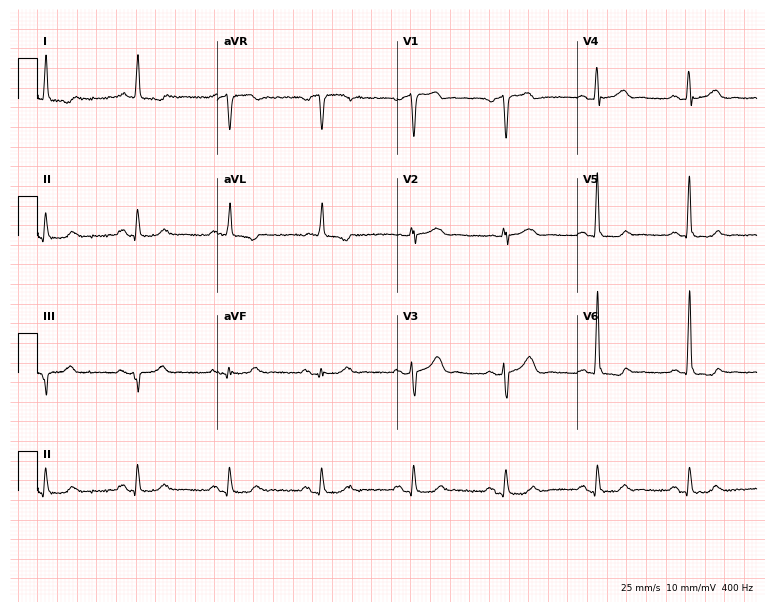
Resting 12-lead electrocardiogram (7.3-second recording at 400 Hz). Patient: a man, 68 years old. None of these six findings is recorded: first-degree AV block, right bundle branch block, left bundle branch block, sinus bradycardia, atrial fibrillation, sinus tachycardia. Other findings, if any, are not listed.